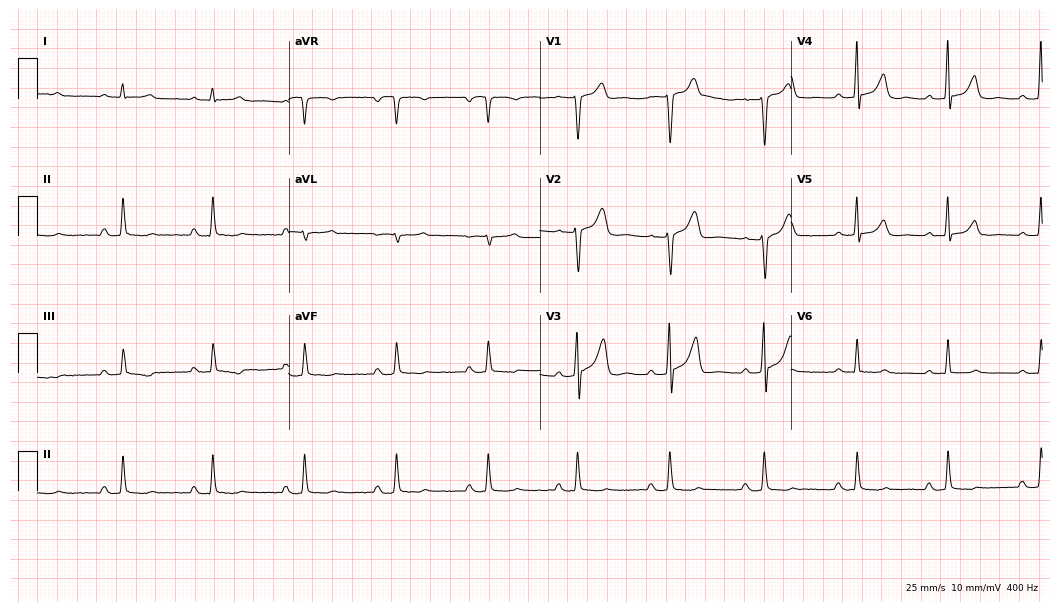
Resting 12-lead electrocardiogram (10.2-second recording at 400 Hz). Patient: a male, 59 years old. Read as a normal ECG.